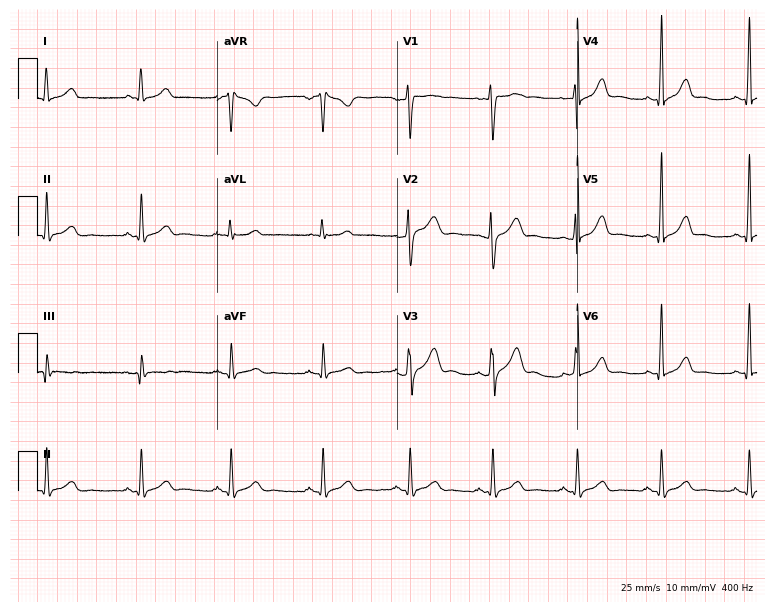
12-lead ECG from a man, 26 years old. Labelled as a normal ECG.